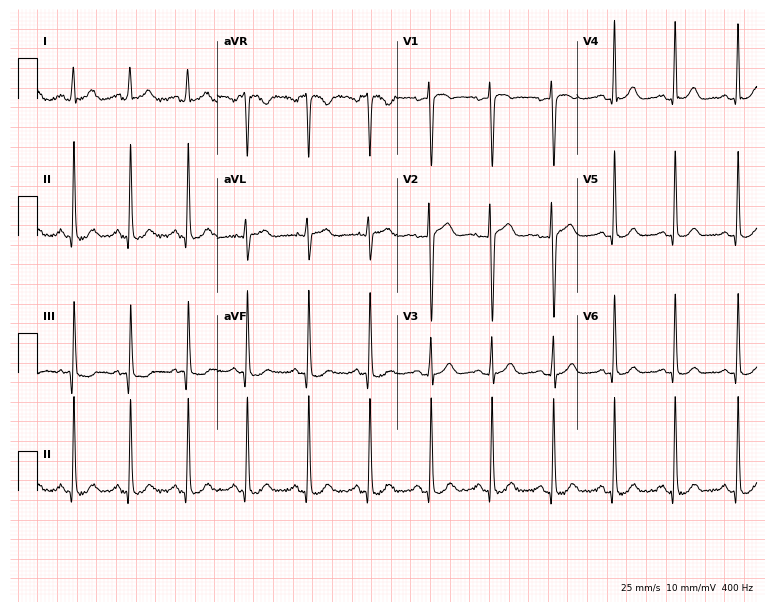
Standard 12-lead ECG recorded from a 35-year-old female patient. None of these six findings is recorded: first-degree AV block, right bundle branch block (RBBB), left bundle branch block (LBBB), sinus bradycardia, atrial fibrillation (AF), sinus tachycardia.